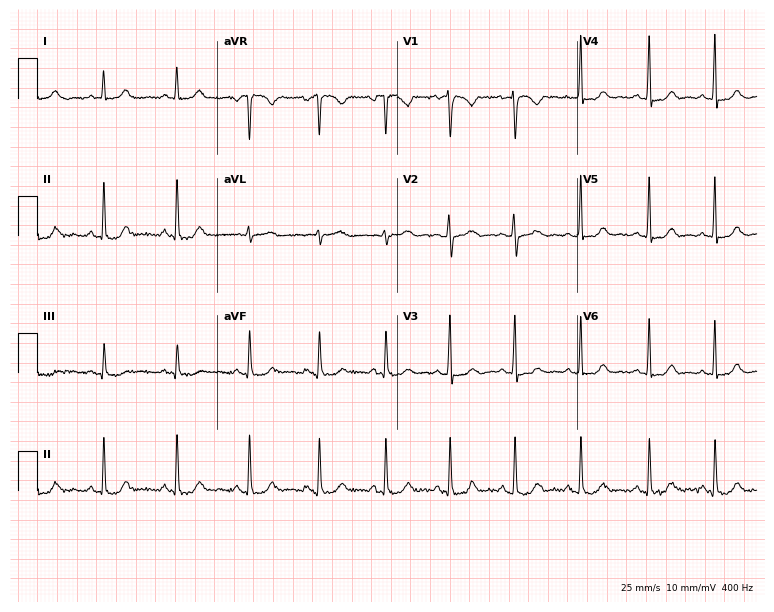
Resting 12-lead electrocardiogram. Patient: a female, 36 years old. None of these six findings is recorded: first-degree AV block, right bundle branch block, left bundle branch block, sinus bradycardia, atrial fibrillation, sinus tachycardia.